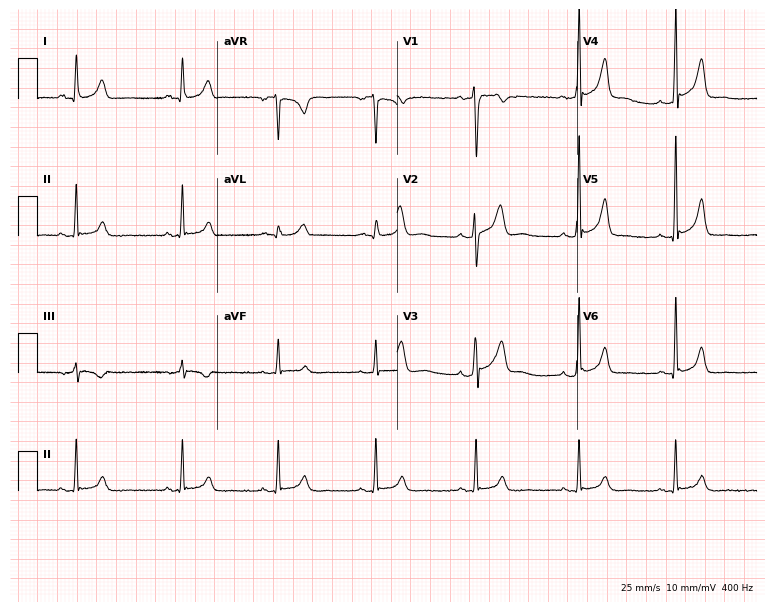
Standard 12-lead ECG recorded from a 27-year-old male patient. None of these six findings is recorded: first-degree AV block, right bundle branch block, left bundle branch block, sinus bradycardia, atrial fibrillation, sinus tachycardia. Only these six findings were labelled.